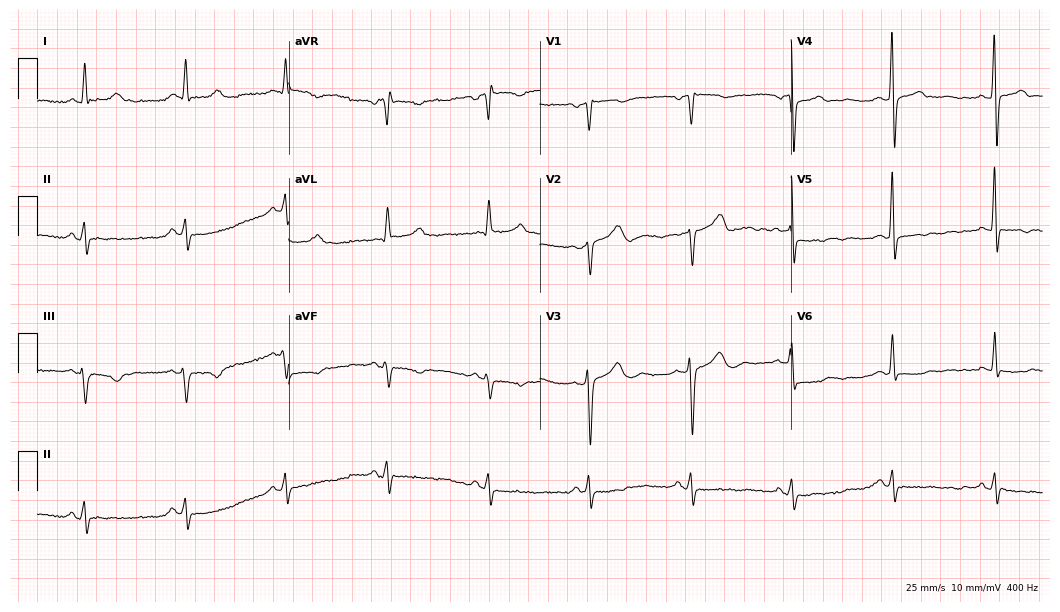
Standard 12-lead ECG recorded from a 79-year-old male. None of these six findings is recorded: first-degree AV block, right bundle branch block, left bundle branch block, sinus bradycardia, atrial fibrillation, sinus tachycardia. Findings outside these six are not listed.